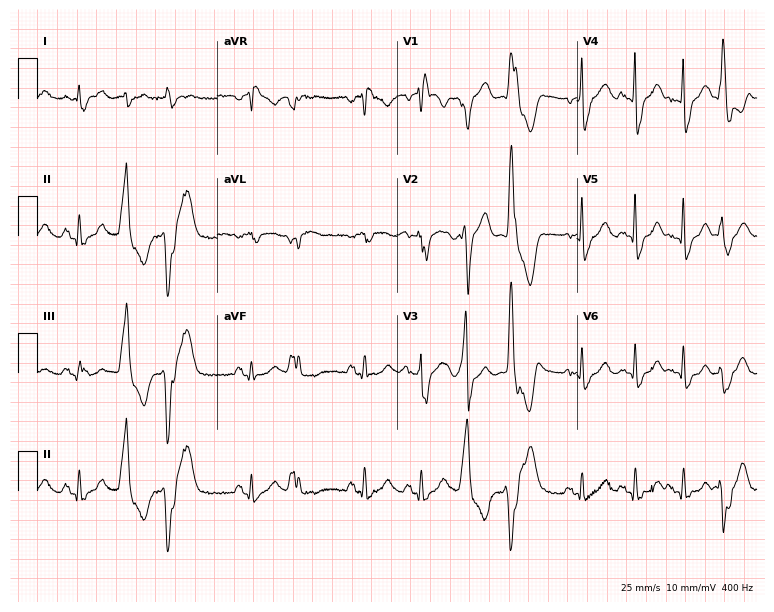
Electrocardiogram, an 84-year-old man. Interpretation includes right bundle branch block.